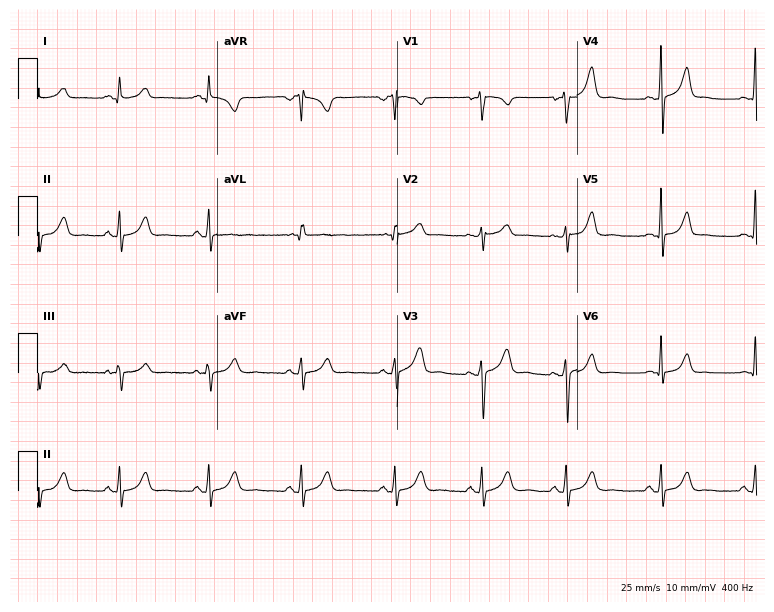
Standard 12-lead ECG recorded from a woman, 30 years old. Read as a normal ECG.